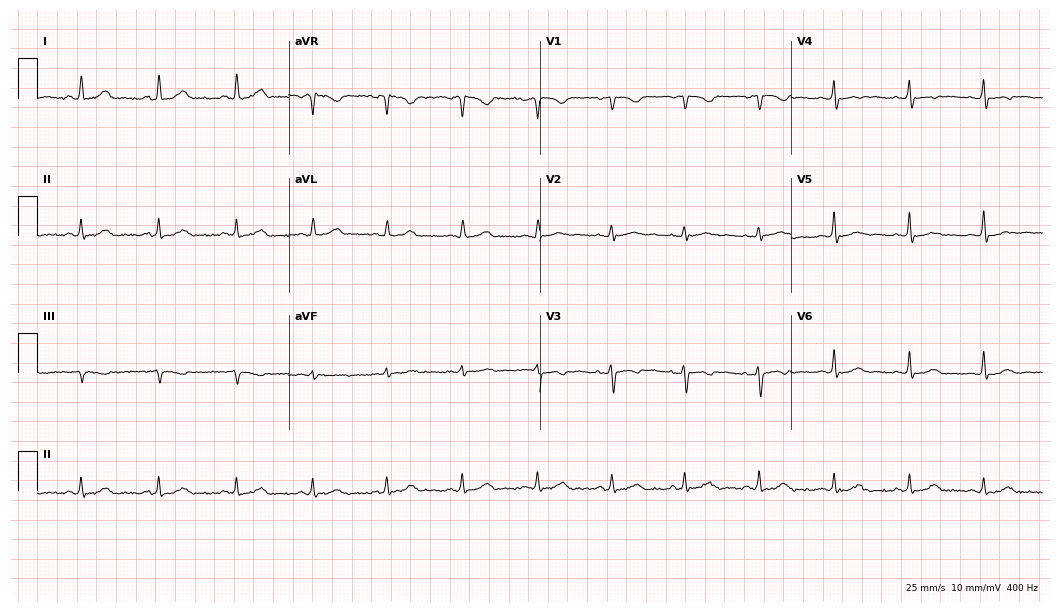
Electrocardiogram, a female patient, 44 years old. Overall reading on record: normal ECG.